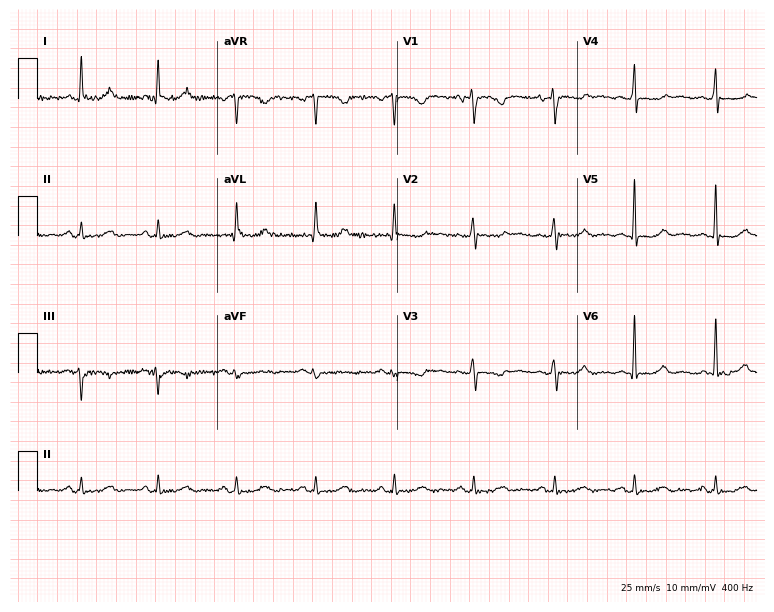
Electrocardiogram (7.3-second recording at 400 Hz), a woman, 49 years old. Of the six screened findings (first-degree AV block, right bundle branch block (RBBB), left bundle branch block (LBBB), sinus bradycardia, atrial fibrillation (AF), sinus tachycardia), none is recorded.